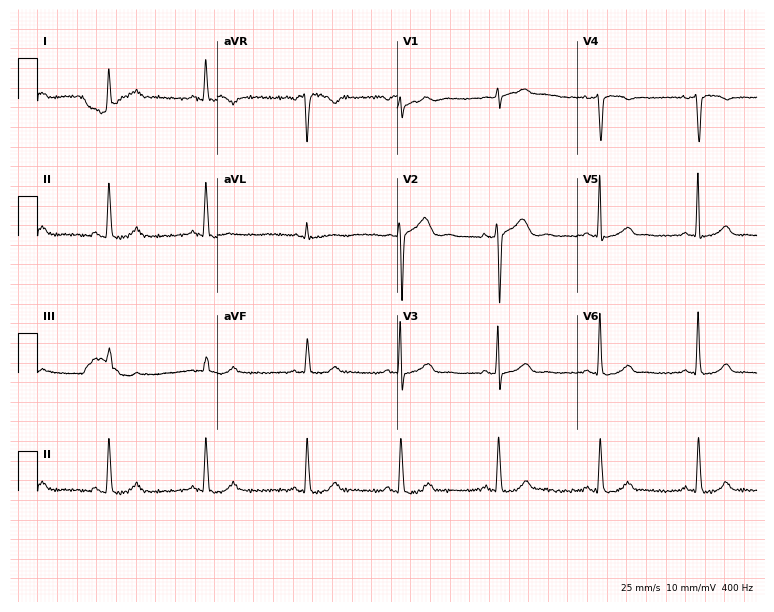
12-lead ECG (7.3-second recording at 400 Hz) from a woman, 48 years old. Screened for six findings — first-degree AV block, right bundle branch block (RBBB), left bundle branch block (LBBB), sinus bradycardia, atrial fibrillation (AF), sinus tachycardia — none is recorded. Other findings, if any, are not listed.